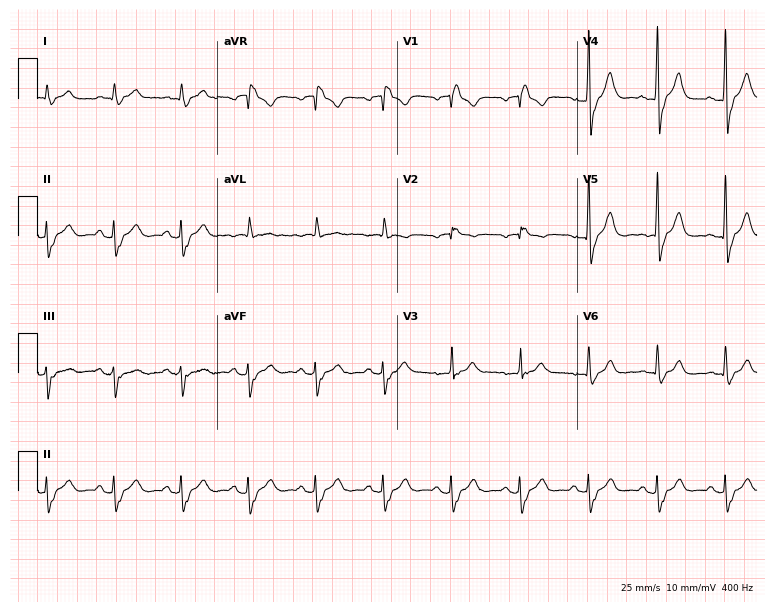
Resting 12-lead electrocardiogram. Patient: a male, 75 years old. The tracing shows right bundle branch block.